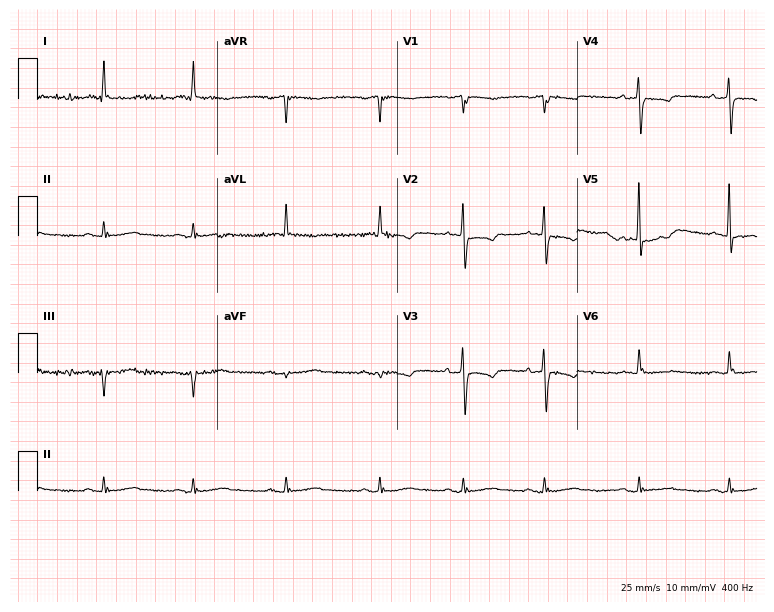
12-lead ECG from a woman, 76 years old (7.3-second recording at 400 Hz). No first-degree AV block, right bundle branch block, left bundle branch block, sinus bradycardia, atrial fibrillation or sinus tachycardia recorded for this tracing. Only these six findings were labelled.